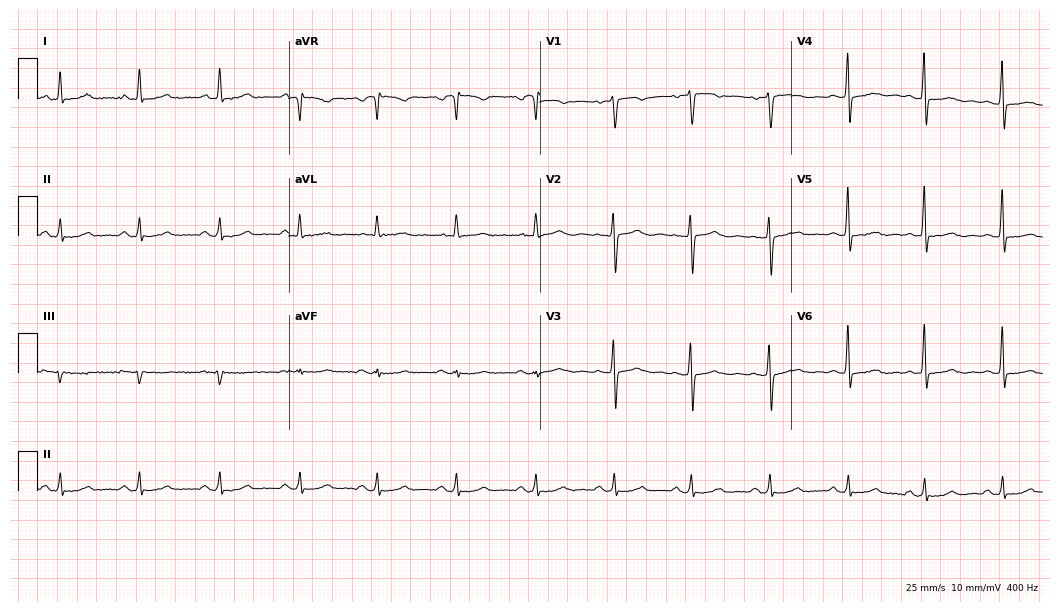
12-lead ECG from a woman, 68 years old. Screened for six findings — first-degree AV block, right bundle branch block, left bundle branch block, sinus bradycardia, atrial fibrillation, sinus tachycardia — none is recorded.